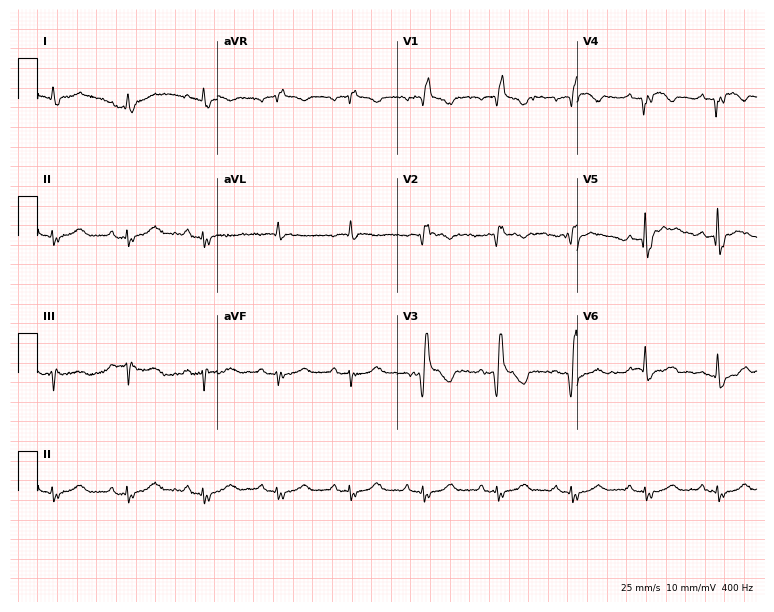
Resting 12-lead electrocardiogram. Patient: an 84-year-old man. None of these six findings is recorded: first-degree AV block, right bundle branch block (RBBB), left bundle branch block (LBBB), sinus bradycardia, atrial fibrillation (AF), sinus tachycardia. Other findings, if any, are not listed.